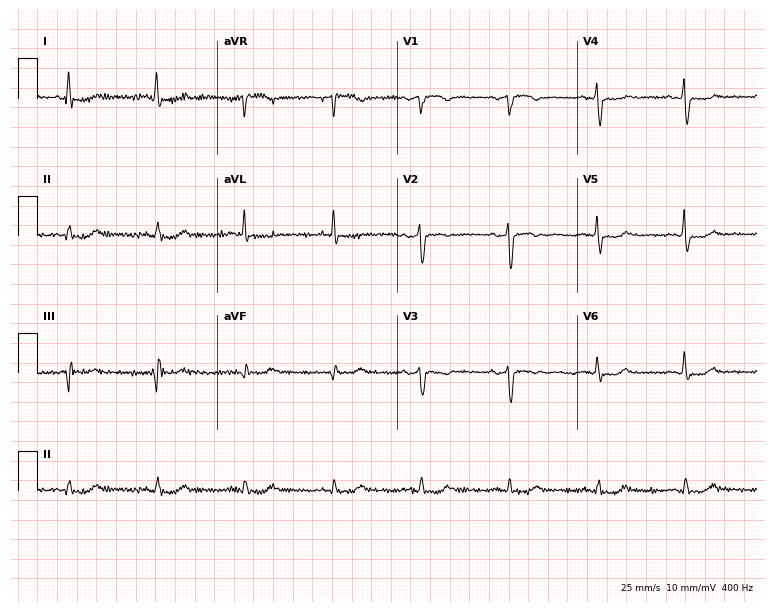
Resting 12-lead electrocardiogram (7.3-second recording at 400 Hz). Patient: an 83-year-old woman. None of these six findings is recorded: first-degree AV block, right bundle branch block (RBBB), left bundle branch block (LBBB), sinus bradycardia, atrial fibrillation (AF), sinus tachycardia.